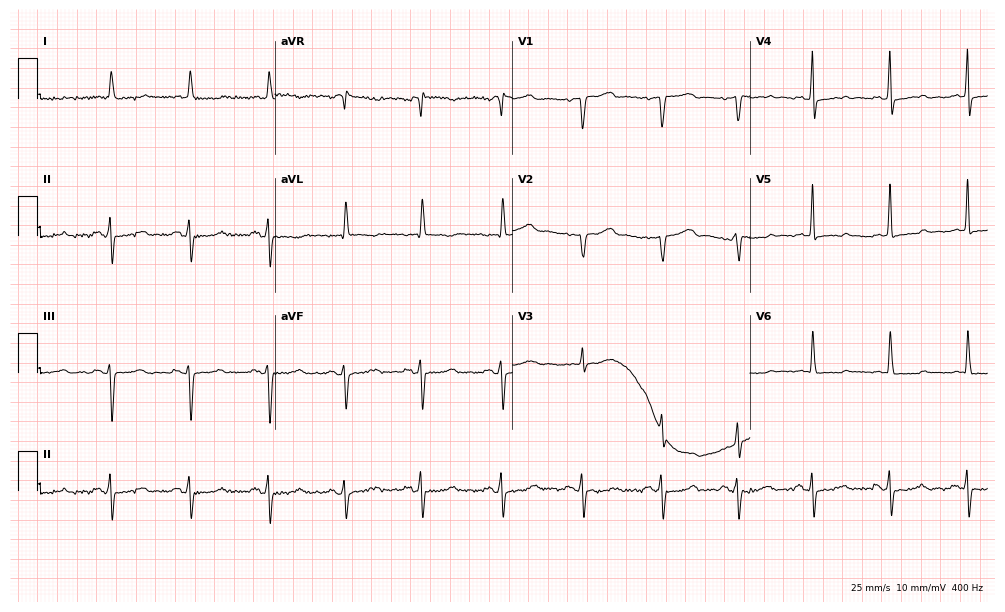
Electrocardiogram, an 83-year-old female. Of the six screened findings (first-degree AV block, right bundle branch block (RBBB), left bundle branch block (LBBB), sinus bradycardia, atrial fibrillation (AF), sinus tachycardia), none is recorded. Findings outside these six are not listed.